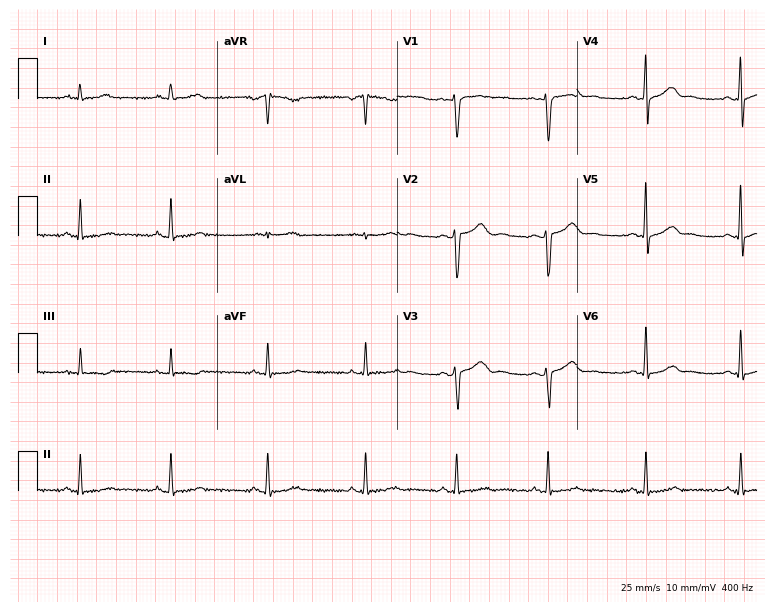
ECG (7.3-second recording at 400 Hz) — a woman, 21 years old. Screened for six findings — first-degree AV block, right bundle branch block, left bundle branch block, sinus bradycardia, atrial fibrillation, sinus tachycardia — none is recorded. Other findings, if any, are not listed.